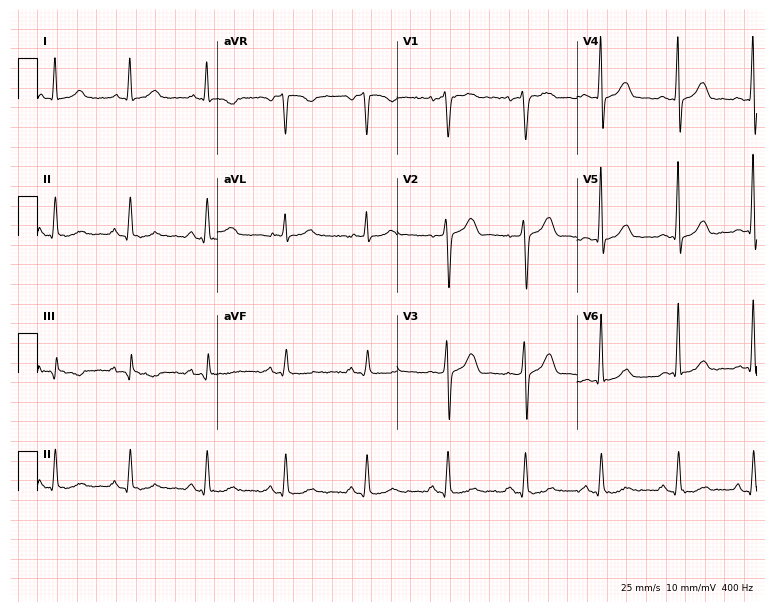
ECG (7.3-second recording at 400 Hz) — a 44-year-old male patient. Screened for six findings — first-degree AV block, right bundle branch block (RBBB), left bundle branch block (LBBB), sinus bradycardia, atrial fibrillation (AF), sinus tachycardia — none is recorded. Only these six findings were labelled.